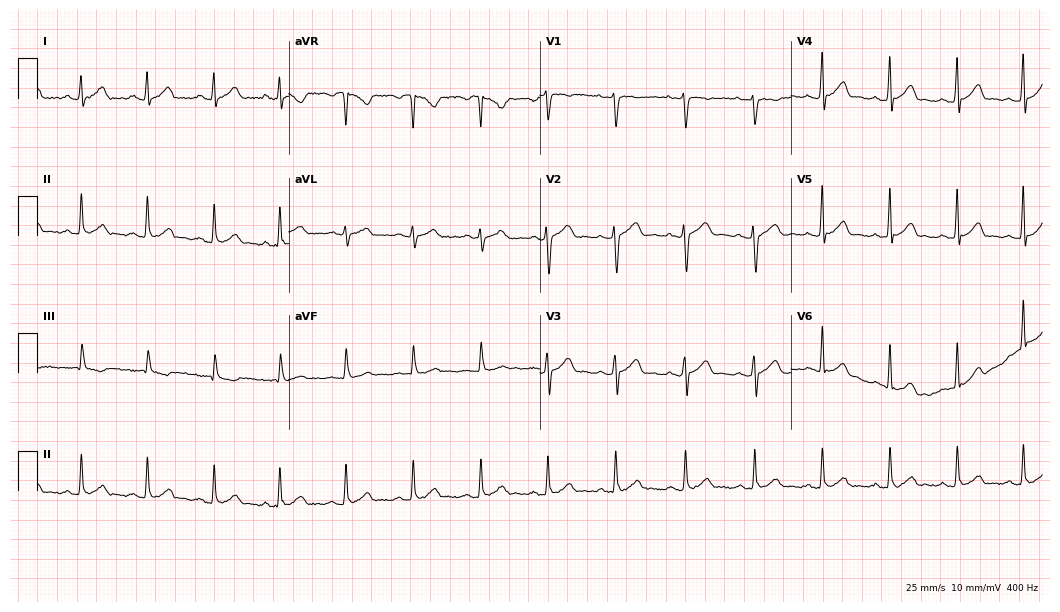
12-lead ECG from a 23-year-old female (10.2-second recording at 400 Hz). Recorded interpretation: within normal limits.